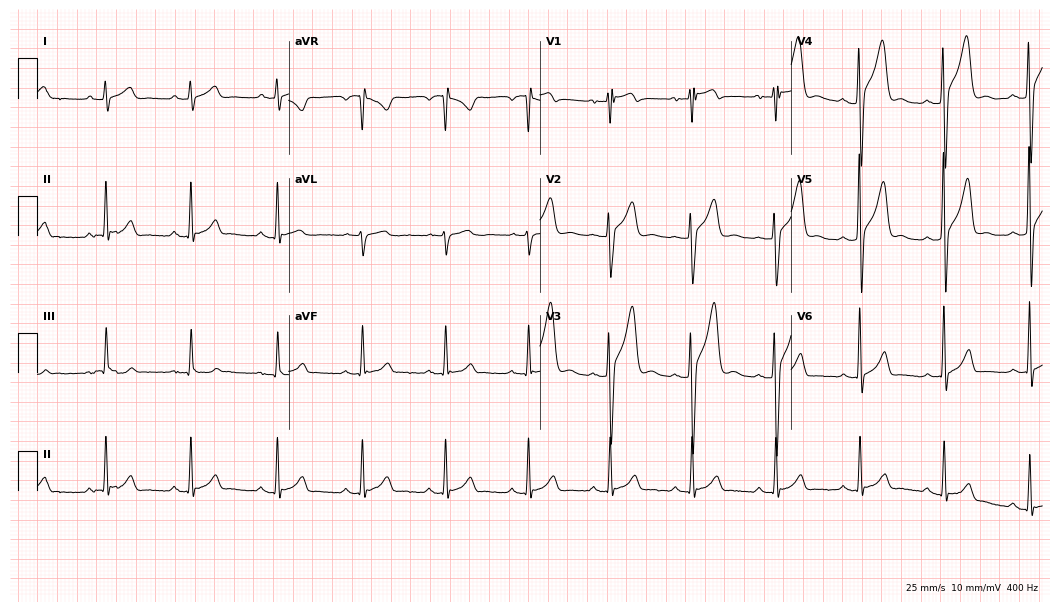
Standard 12-lead ECG recorded from a 17-year-old man. Read as a normal ECG.